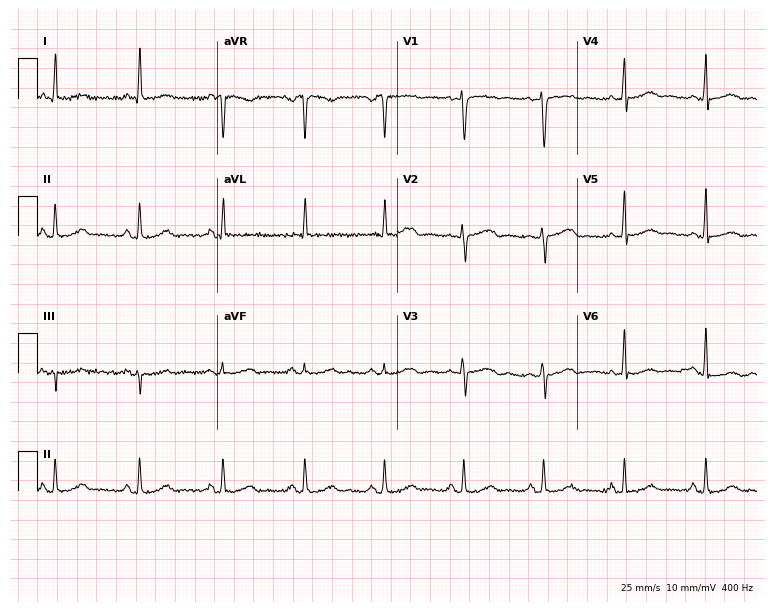
Standard 12-lead ECG recorded from a 48-year-old female. Read as a normal ECG.